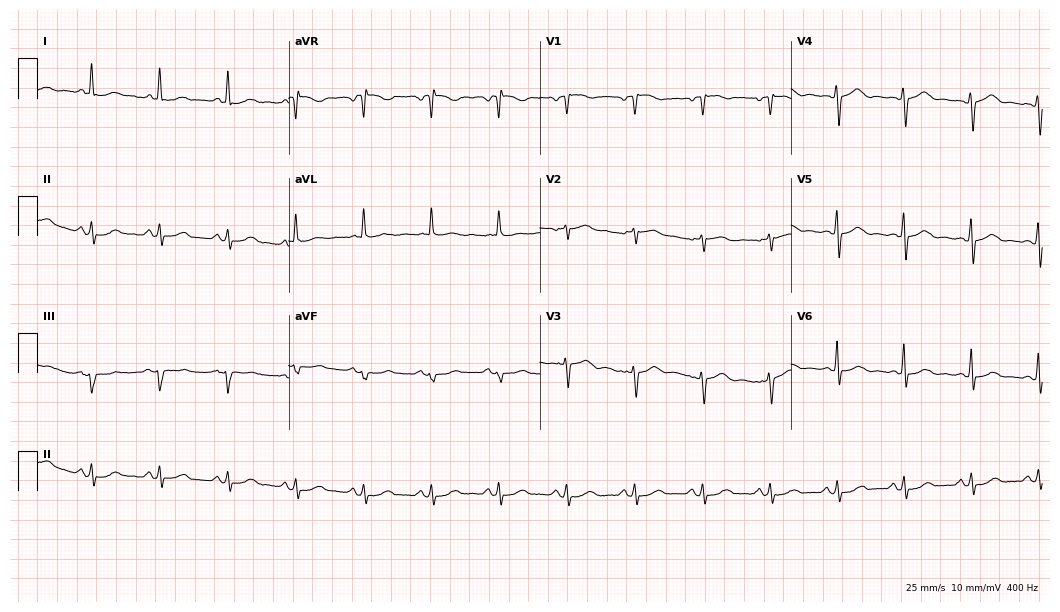
Resting 12-lead electrocardiogram (10.2-second recording at 400 Hz). Patient: a female, 58 years old. Read as a normal ECG.